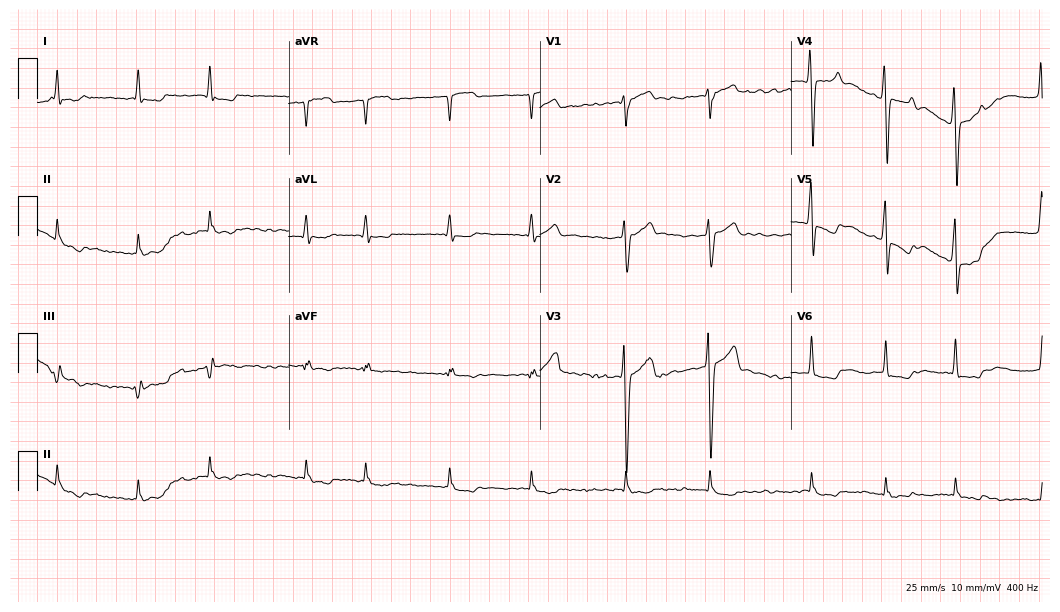
12-lead ECG from a 76-year-old male patient. Findings include atrial fibrillation.